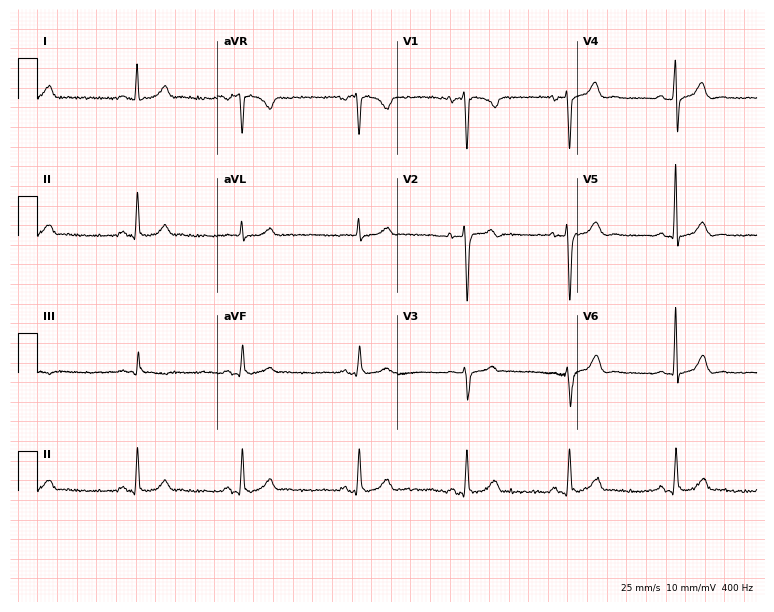
Resting 12-lead electrocardiogram (7.3-second recording at 400 Hz). Patient: a 39-year-old male. None of these six findings is recorded: first-degree AV block, right bundle branch block, left bundle branch block, sinus bradycardia, atrial fibrillation, sinus tachycardia. Findings outside these six are not listed.